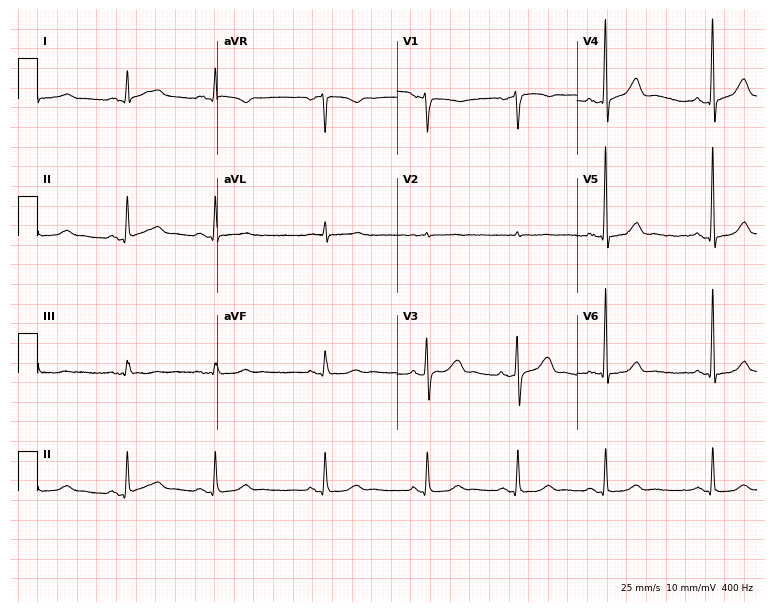
ECG — a 61-year-old man. Labelled as a normal ECG.